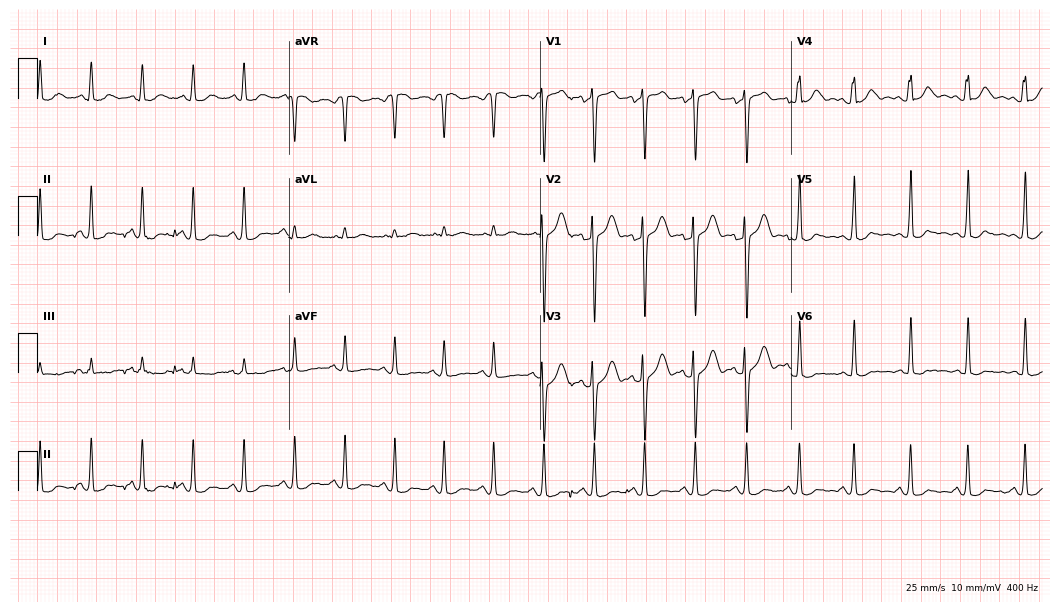
ECG (10.2-second recording at 400 Hz) — a male, 39 years old. Screened for six findings — first-degree AV block, right bundle branch block, left bundle branch block, sinus bradycardia, atrial fibrillation, sinus tachycardia — none is recorded.